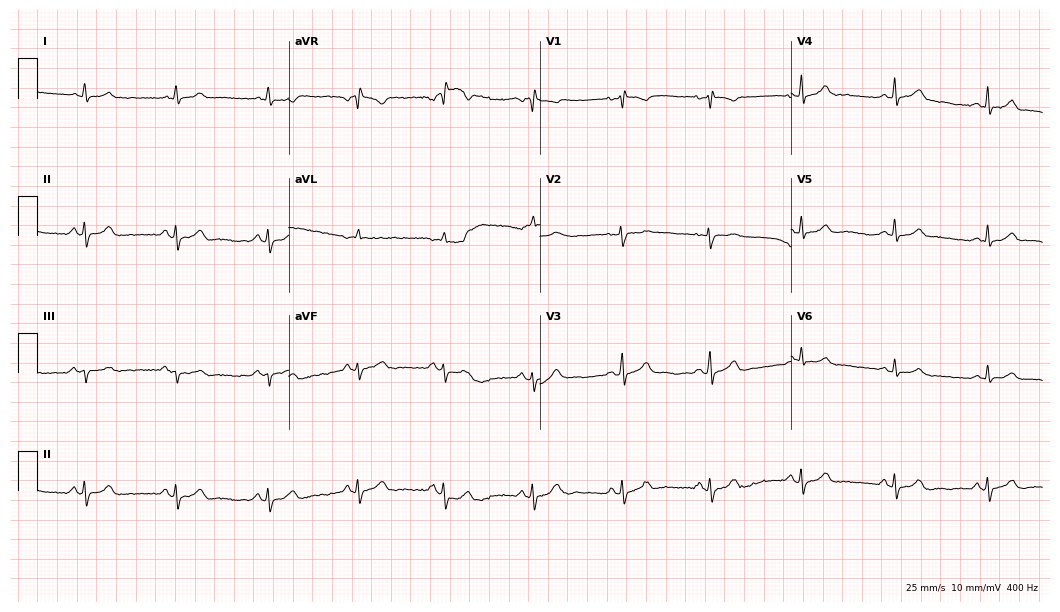
ECG (10.2-second recording at 400 Hz) — a woman, 21 years old. Screened for six findings — first-degree AV block, right bundle branch block (RBBB), left bundle branch block (LBBB), sinus bradycardia, atrial fibrillation (AF), sinus tachycardia — none is recorded. Findings outside these six are not listed.